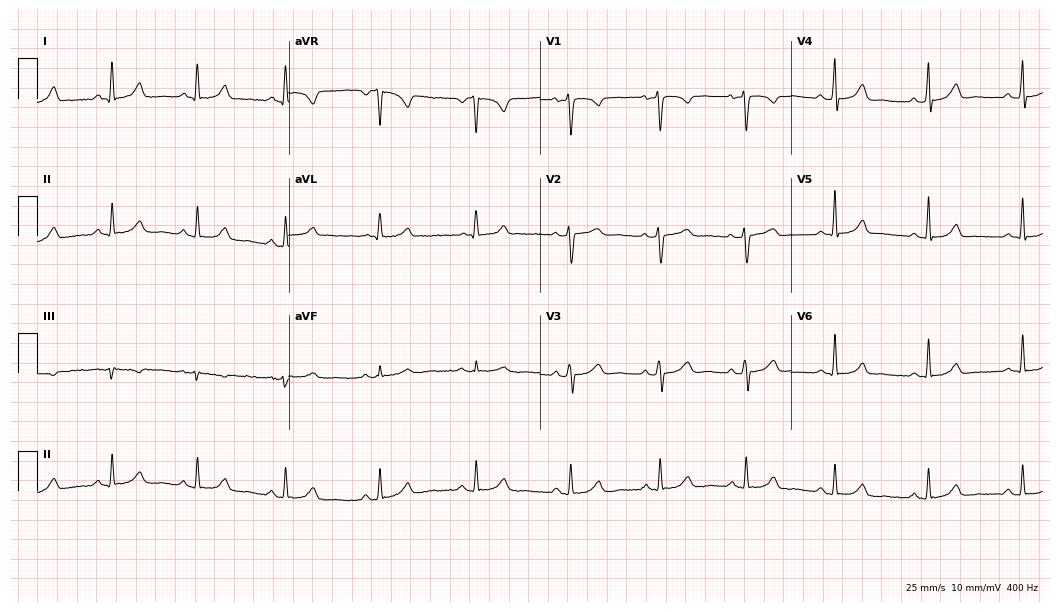
12-lead ECG from a 47-year-old woman (10.2-second recording at 400 Hz). Recorded interpretation: within normal limits.